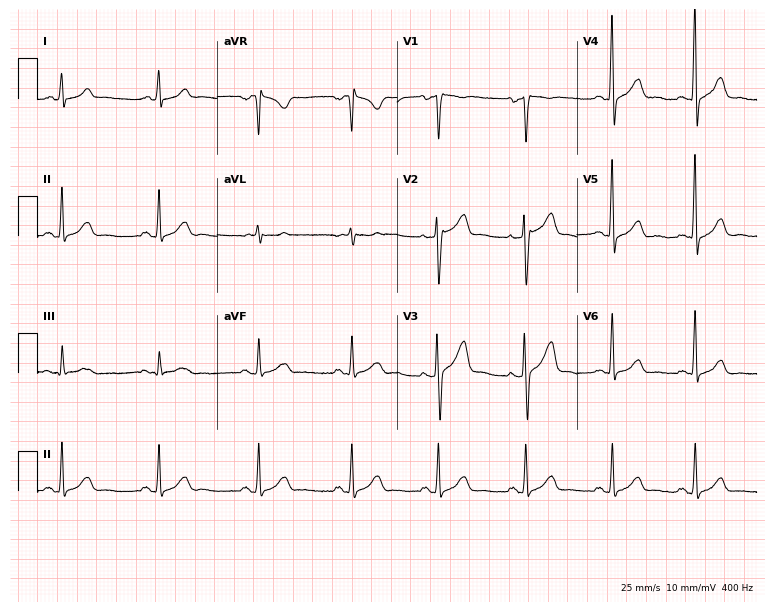
ECG (7.3-second recording at 400 Hz) — a man, 45 years old. Labelled as a normal ECG.